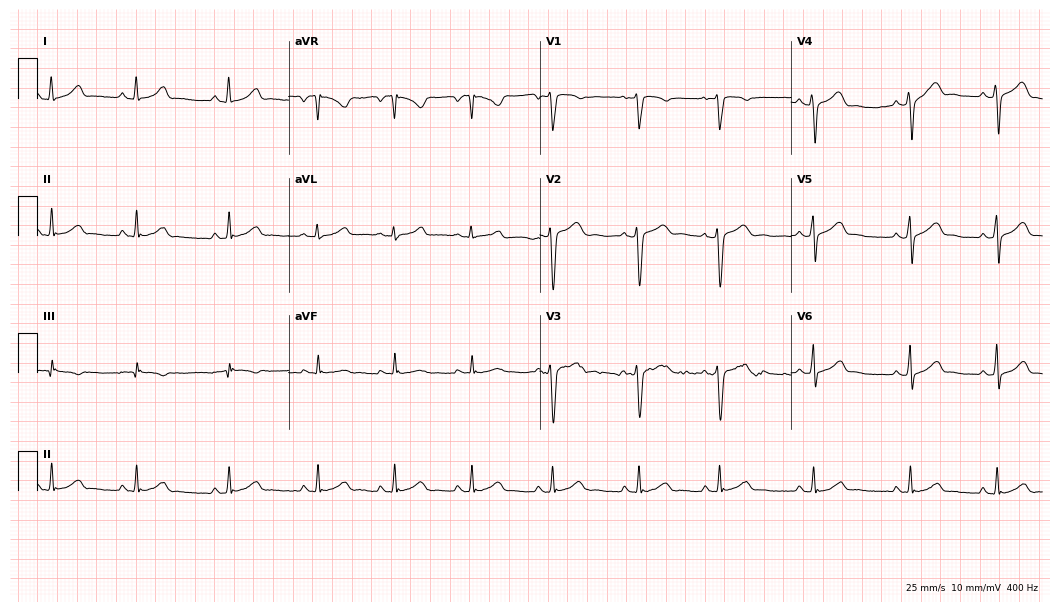
12-lead ECG from a 25-year-old female (10.2-second recording at 400 Hz). Recorded interpretation: within normal limits.